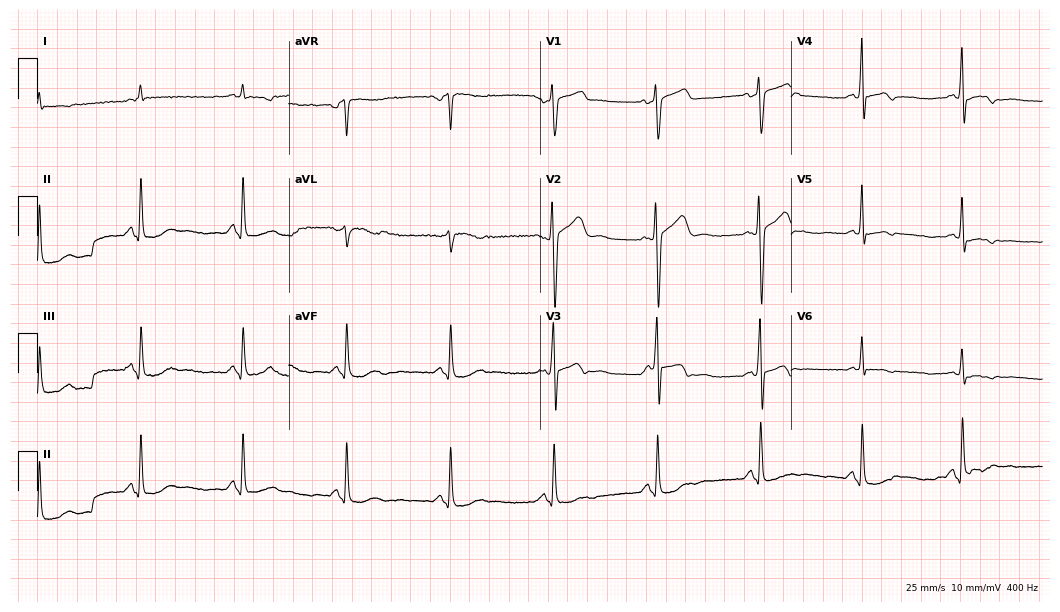
ECG (10.2-second recording at 400 Hz) — a man, 69 years old. Screened for six findings — first-degree AV block, right bundle branch block, left bundle branch block, sinus bradycardia, atrial fibrillation, sinus tachycardia — none is recorded.